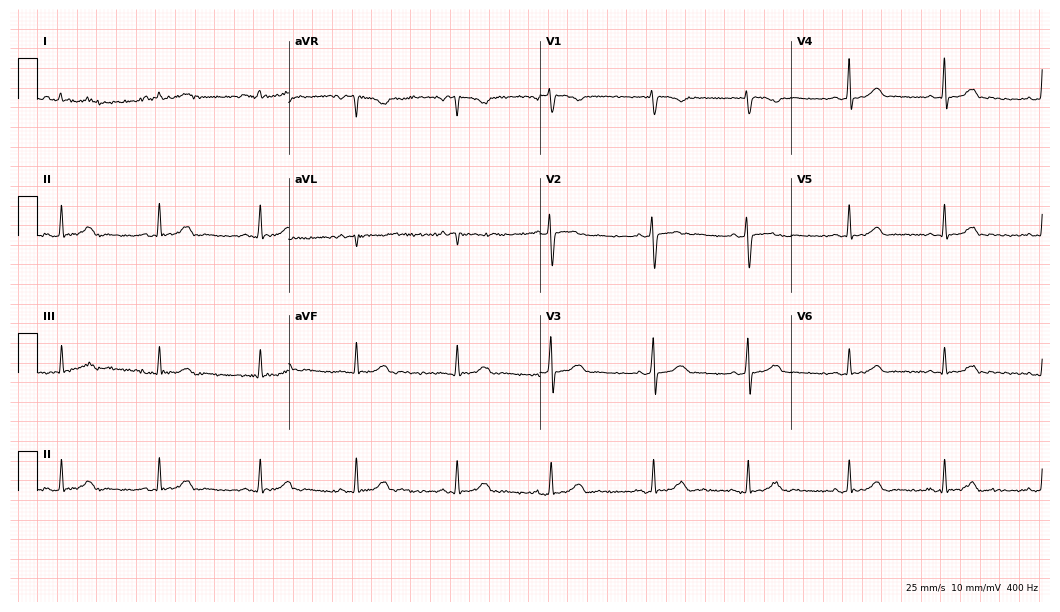
Electrocardiogram (10.2-second recording at 400 Hz), a 23-year-old woman. Overall reading on record: normal ECG.